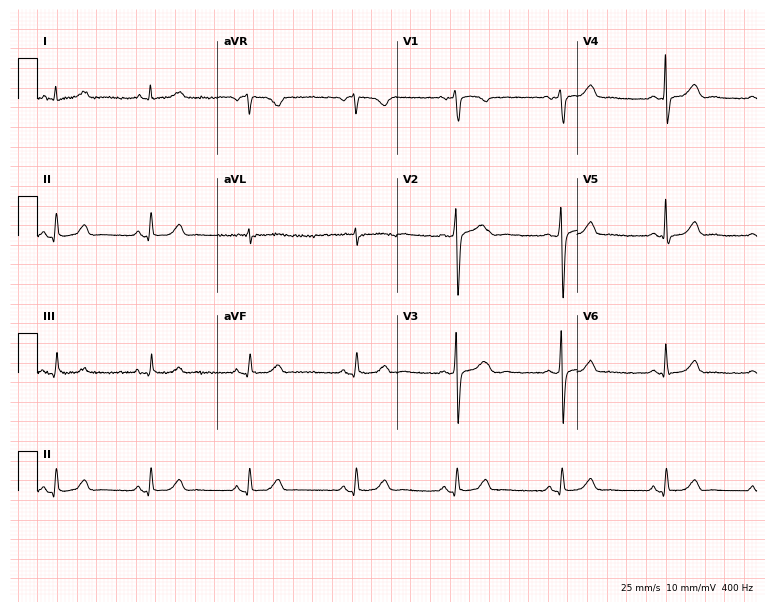
ECG — a female patient, 58 years old. Labelled as a normal ECG.